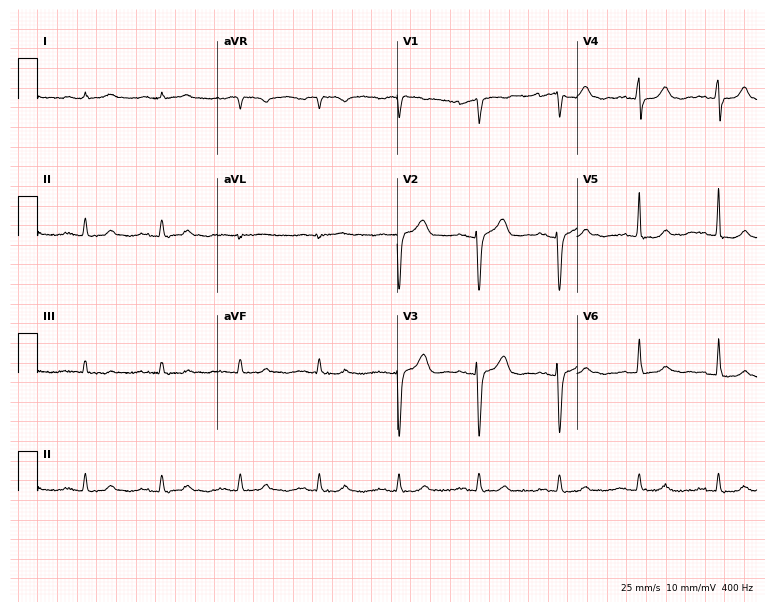
Electrocardiogram (7.3-second recording at 400 Hz), a man, 70 years old. Of the six screened findings (first-degree AV block, right bundle branch block, left bundle branch block, sinus bradycardia, atrial fibrillation, sinus tachycardia), none is recorded. Only these six findings were labelled.